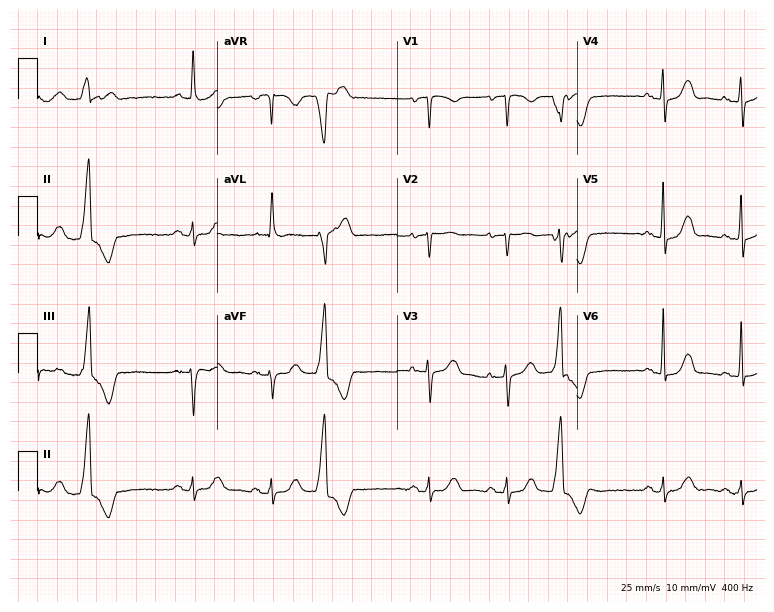
Electrocardiogram, a female patient, 76 years old. Of the six screened findings (first-degree AV block, right bundle branch block, left bundle branch block, sinus bradycardia, atrial fibrillation, sinus tachycardia), none is recorded.